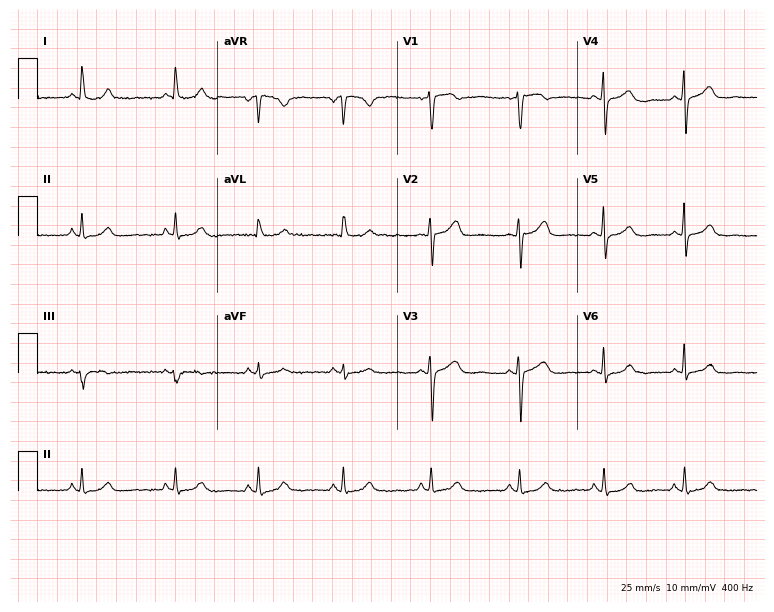
Standard 12-lead ECG recorded from a 44-year-old woman (7.3-second recording at 400 Hz). Read as a normal ECG.